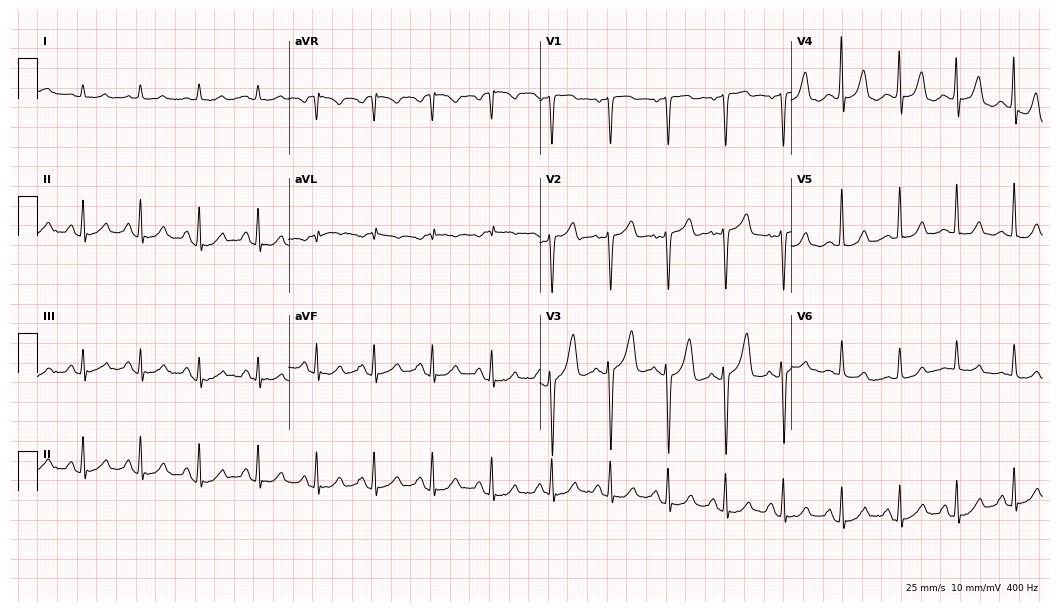
Standard 12-lead ECG recorded from a man, 62 years old. None of these six findings is recorded: first-degree AV block, right bundle branch block (RBBB), left bundle branch block (LBBB), sinus bradycardia, atrial fibrillation (AF), sinus tachycardia. Other findings, if any, are not listed.